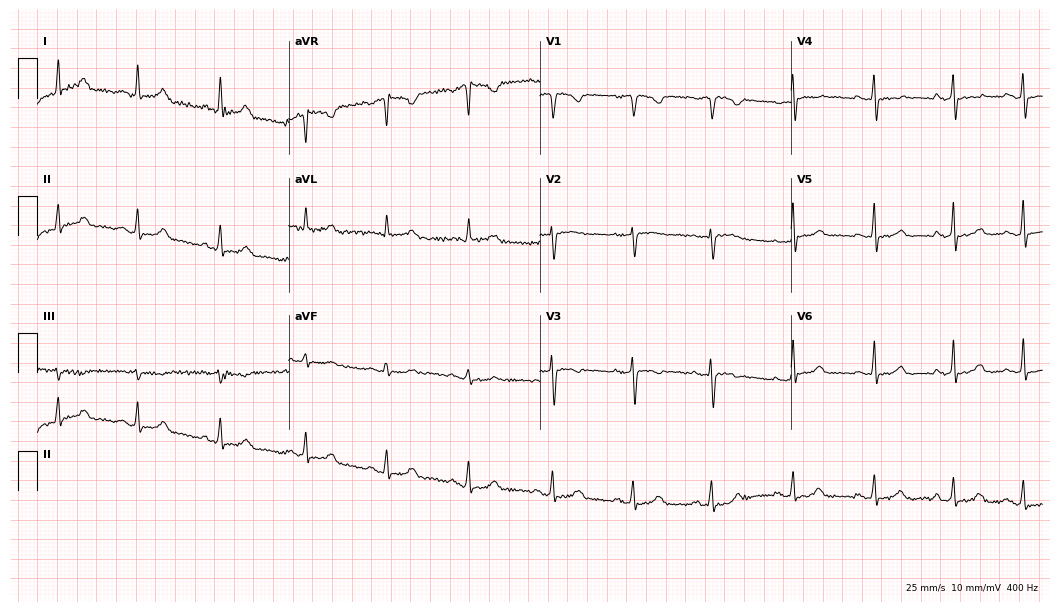
Resting 12-lead electrocardiogram. Patient: a female, 43 years old. None of these six findings is recorded: first-degree AV block, right bundle branch block, left bundle branch block, sinus bradycardia, atrial fibrillation, sinus tachycardia.